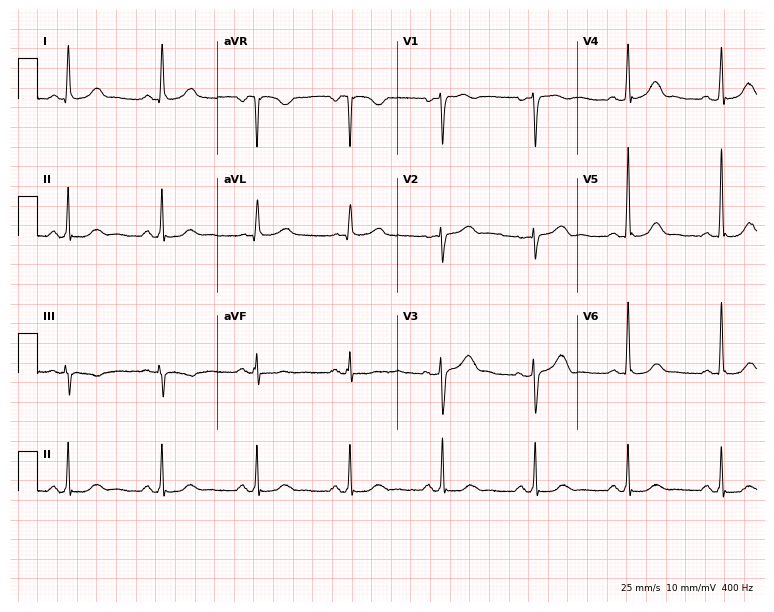
Standard 12-lead ECG recorded from a woman, 83 years old. None of these six findings is recorded: first-degree AV block, right bundle branch block, left bundle branch block, sinus bradycardia, atrial fibrillation, sinus tachycardia. Findings outside these six are not listed.